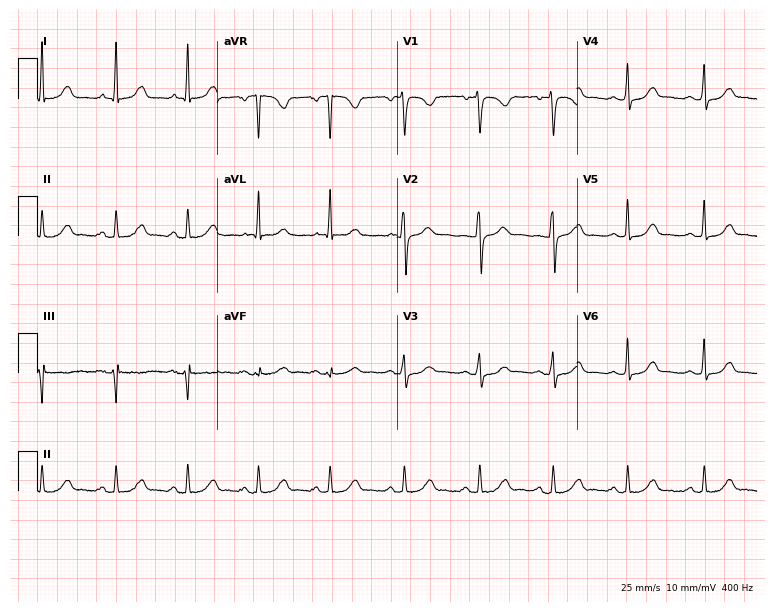
Resting 12-lead electrocardiogram (7.3-second recording at 400 Hz). Patient: a 42-year-old female. None of these six findings is recorded: first-degree AV block, right bundle branch block, left bundle branch block, sinus bradycardia, atrial fibrillation, sinus tachycardia.